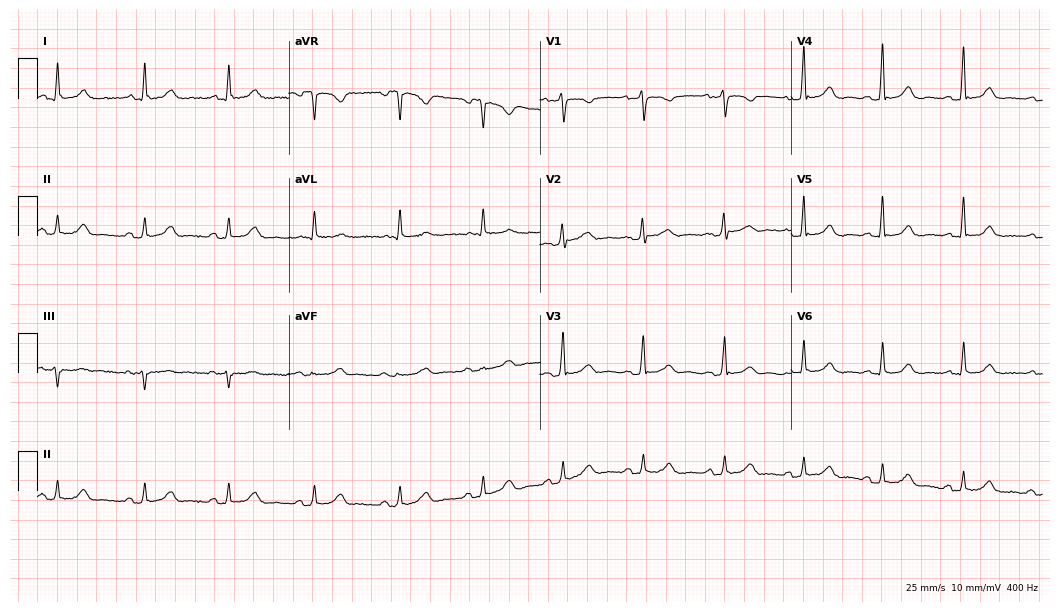
ECG — a 37-year-old female. Labelled as a normal ECG.